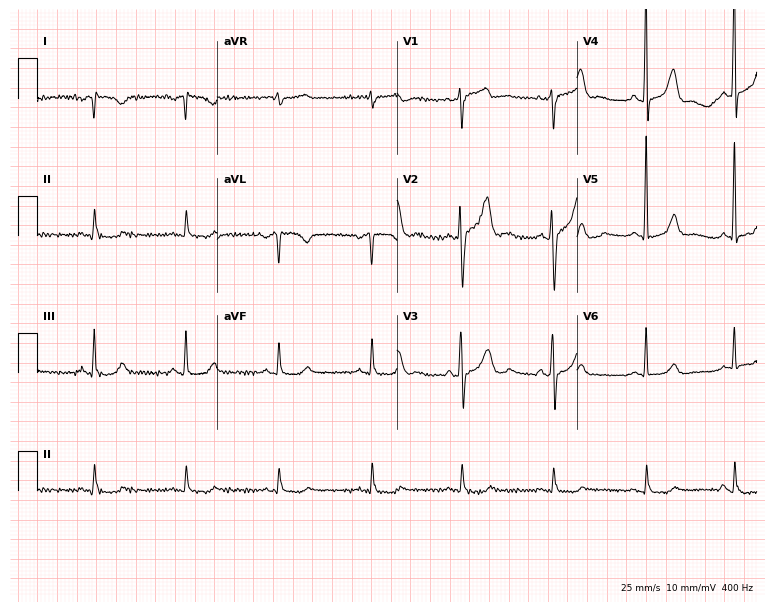
12-lead ECG from a 56-year-old male. Screened for six findings — first-degree AV block, right bundle branch block, left bundle branch block, sinus bradycardia, atrial fibrillation, sinus tachycardia — none is recorded.